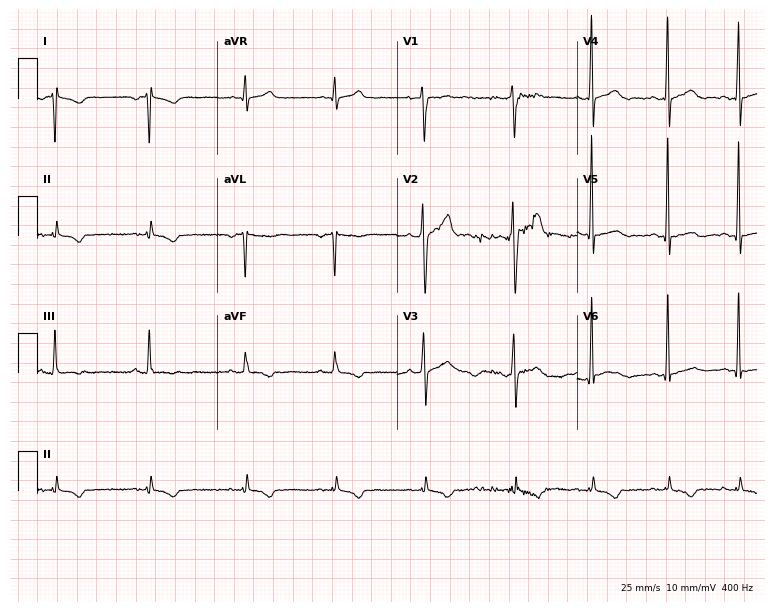
12-lead ECG from a 33-year-old man (7.3-second recording at 400 Hz). No first-degree AV block, right bundle branch block, left bundle branch block, sinus bradycardia, atrial fibrillation or sinus tachycardia recorded for this tracing.